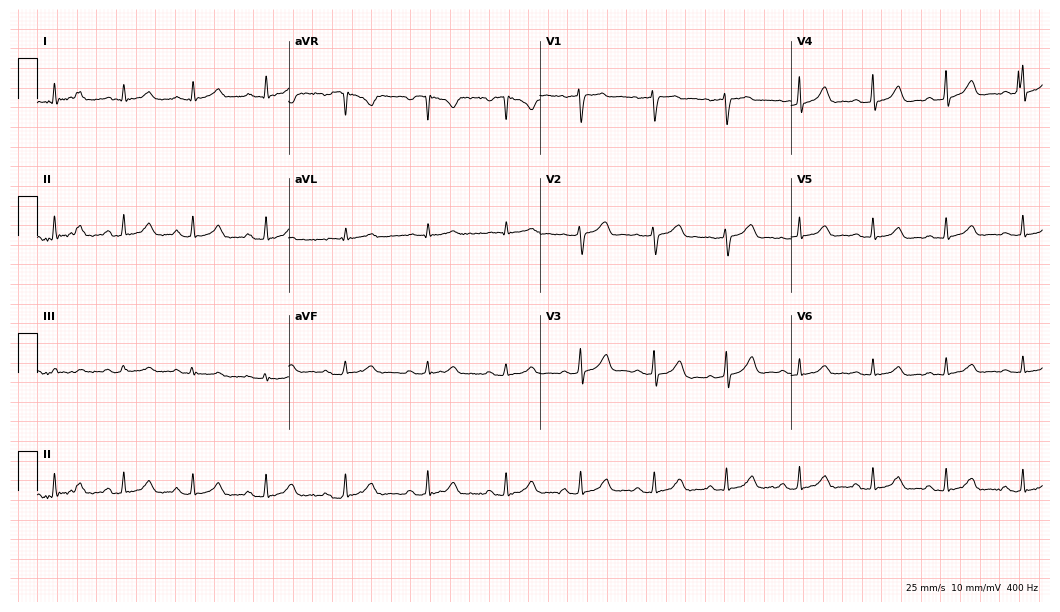
12-lead ECG from a female patient, 42 years old (10.2-second recording at 400 Hz). No first-degree AV block, right bundle branch block, left bundle branch block, sinus bradycardia, atrial fibrillation or sinus tachycardia recorded for this tracing.